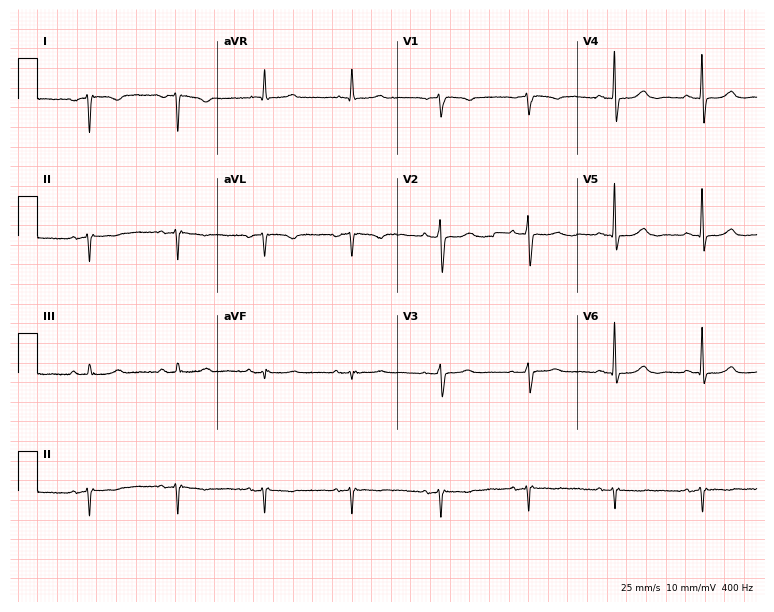
Resting 12-lead electrocardiogram (7.3-second recording at 400 Hz). Patient: a female, 80 years old. None of these six findings is recorded: first-degree AV block, right bundle branch block (RBBB), left bundle branch block (LBBB), sinus bradycardia, atrial fibrillation (AF), sinus tachycardia. Only these six findings were labelled.